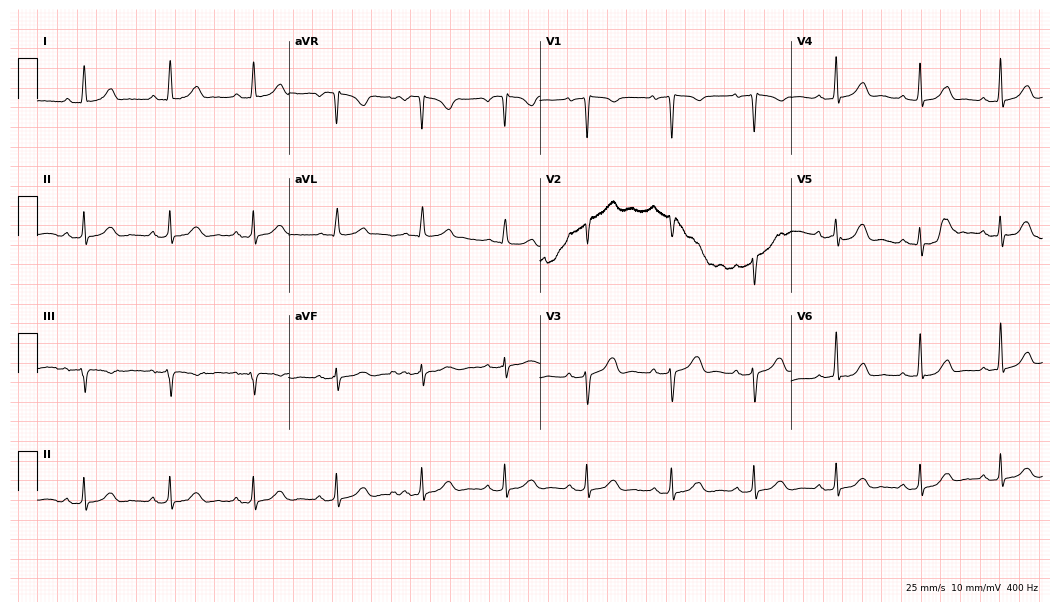
12-lead ECG (10.2-second recording at 400 Hz) from a 49-year-old woman. Screened for six findings — first-degree AV block, right bundle branch block, left bundle branch block, sinus bradycardia, atrial fibrillation, sinus tachycardia — none is recorded. Only these six findings were labelled.